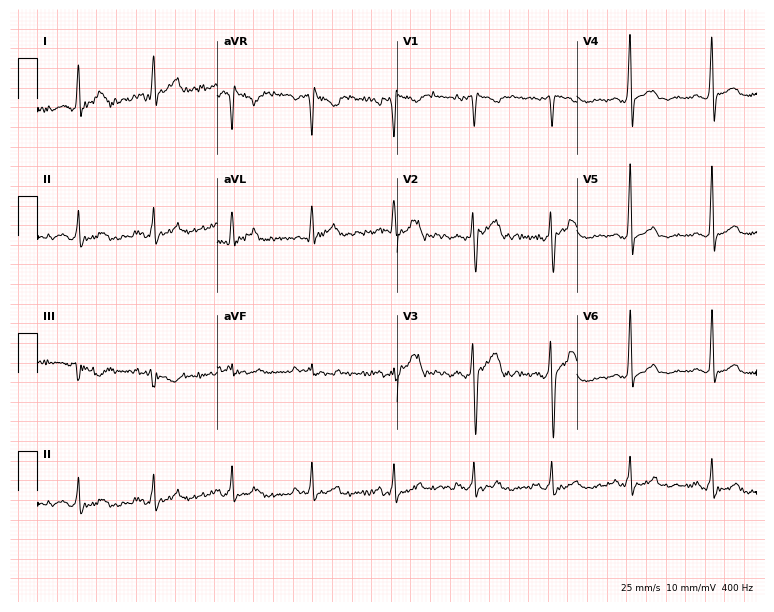
Resting 12-lead electrocardiogram. Patient: a male, 28 years old. None of these six findings is recorded: first-degree AV block, right bundle branch block, left bundle branch block, sinus bradycardia, atrial fibrillation, sinus tachycardia.